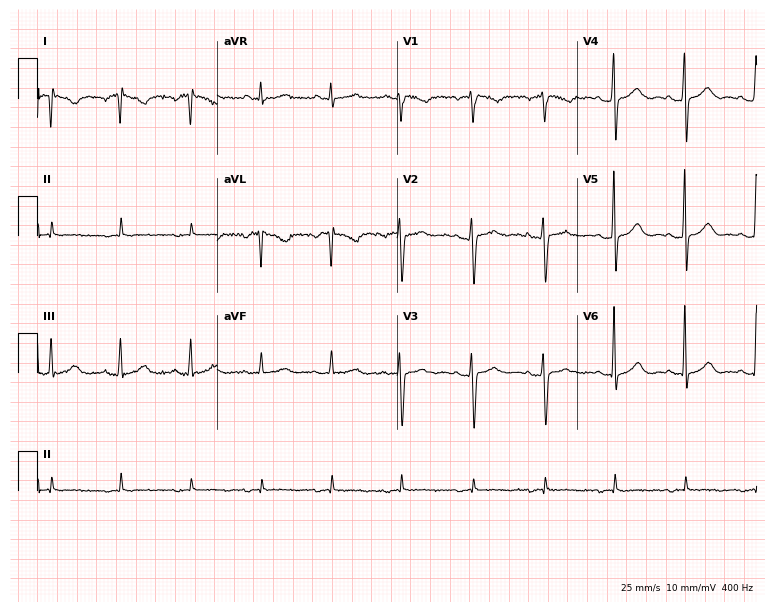
12-lead ECG from a 37-year-old female (7.3-second recording at 400 Hz). Recorded interpretation: within normal limits.